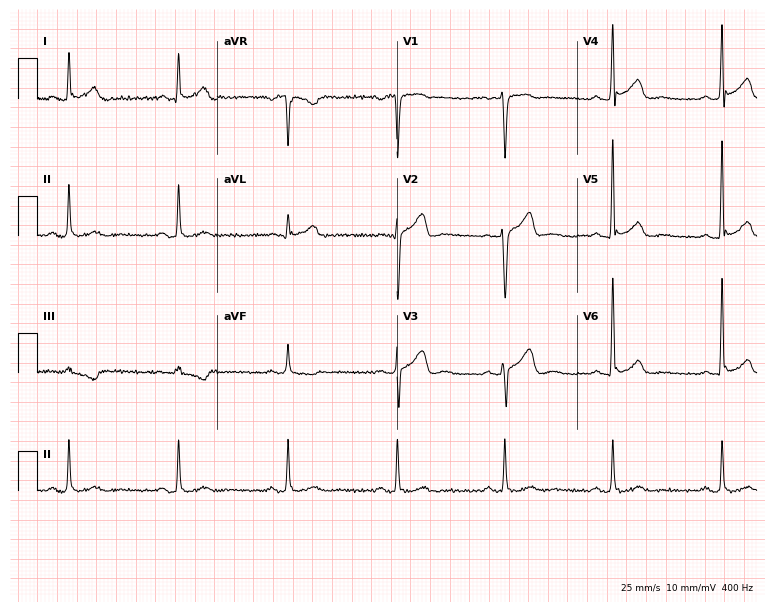
Resting 12-lead electrocardiogram. Patient: a 51-year-old male. None of these six findings is recorded: first-degree AV block, right bundle branch block, left bundle branch block, sinus bradycardia, atrial fibrillation, sinus tachycardia. Other findings, if any, are not listed.